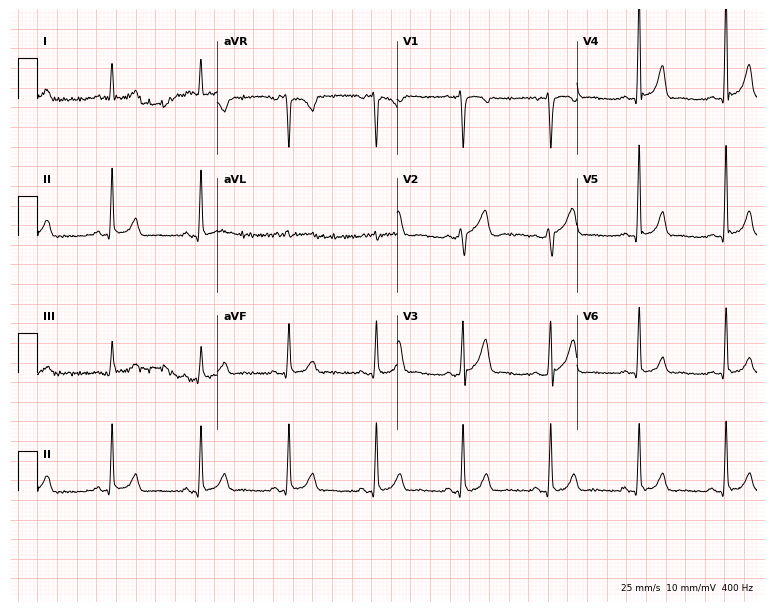
Standard 12-lead ECG recorded from a man, 56 years old. Read as a normal ECG.